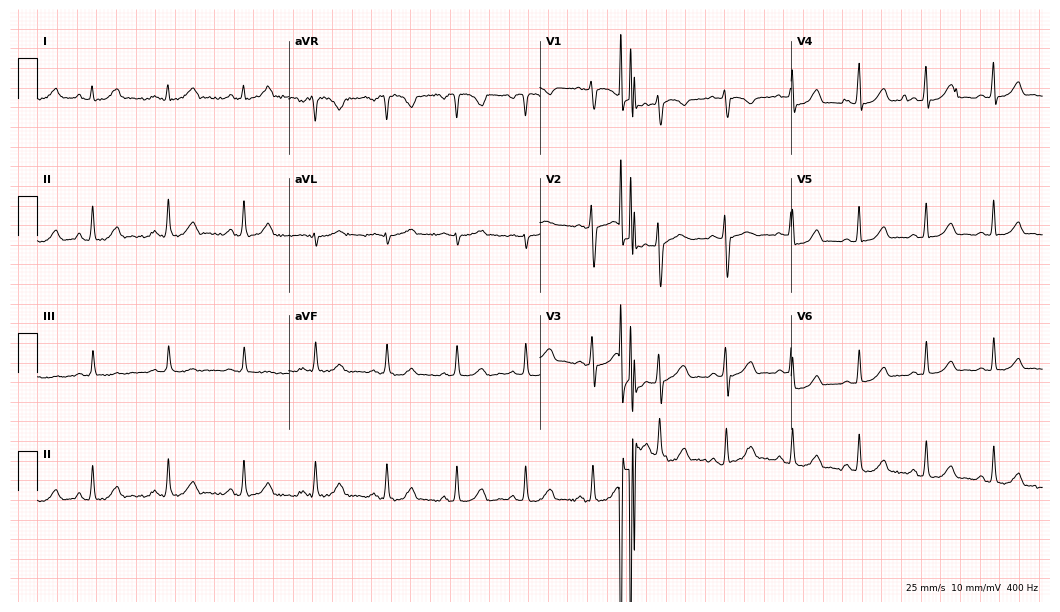
12-lead ECG (10.2-second recording at 400 Hz) from a 26-year-old female patient. Screened for six findings — first-degree AV block, right bundle branch block, left bundle branch block, sinus bradycardia, atrial fibrillation, sinus tachycardia — none is recorded. Only these six findings were labelled.